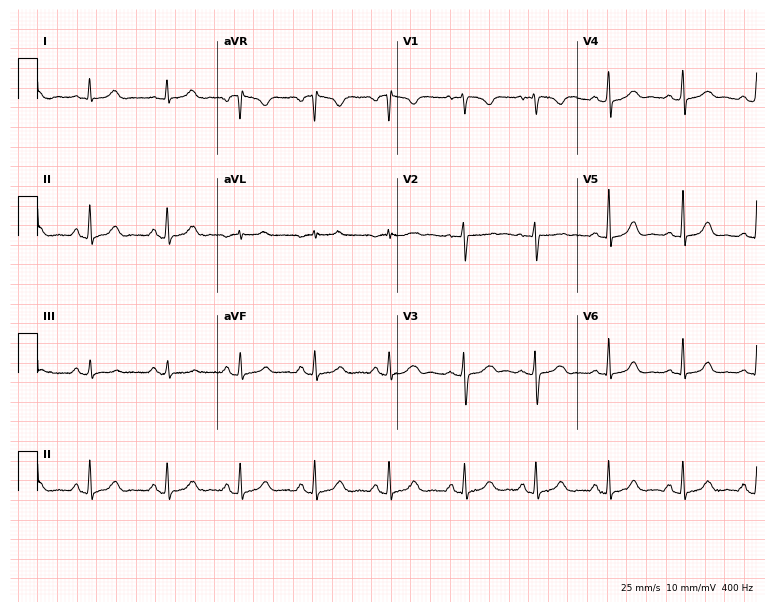
Resting 12-lead electrocardiogram. Patient: a female, 29 years old. Read as a normal ECG.